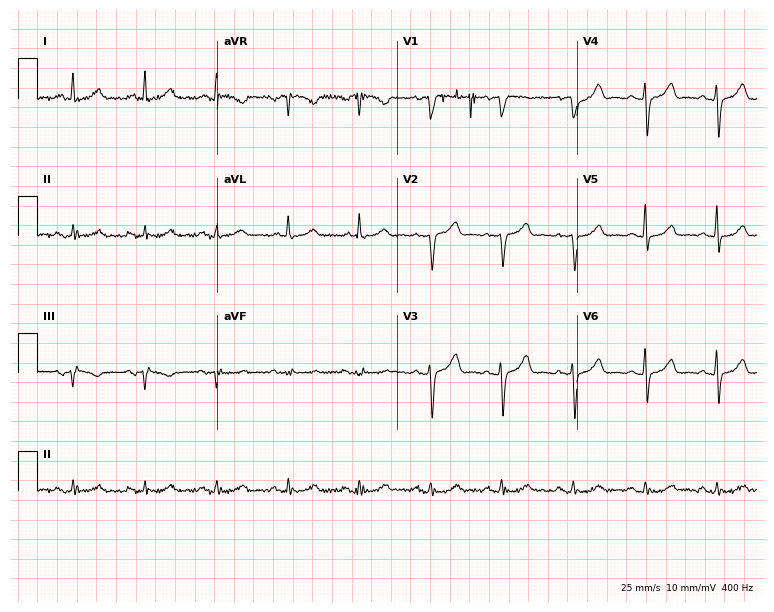
ECG (7.3-second recording at 400 Hz) — a 64-year-old female. Screened for six findings — first-degree AV block, right bundle branch block, left bundle branch block, sinus bradycardia, atrial fibrillation, sinus tachycardia — none is recorded.